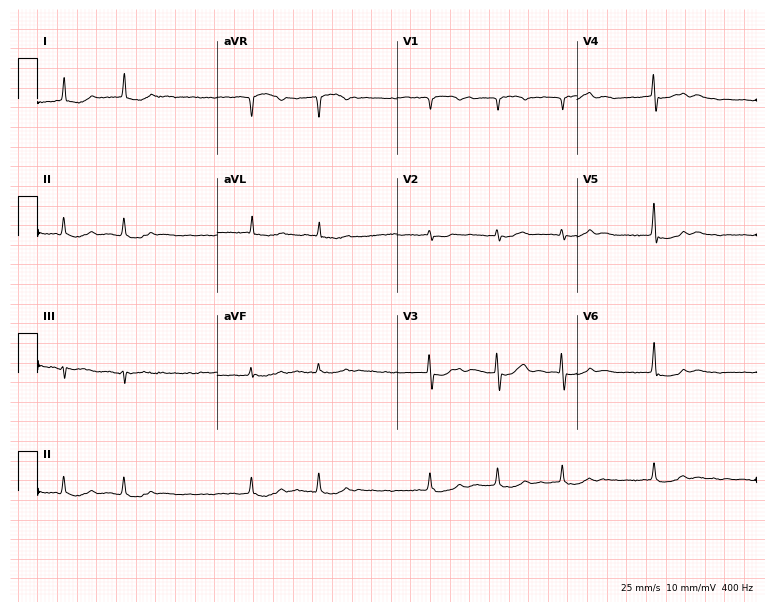
12-lead ECG from a 79-year-old female (7.3-second recording at 400 Hz). No first-degree AV block, right bundle branch block, left bundle branch block, sinus bradycardia, atrial fibrillation or sinus tachycardia recorded for this tracing. Only these six findings were labelled.